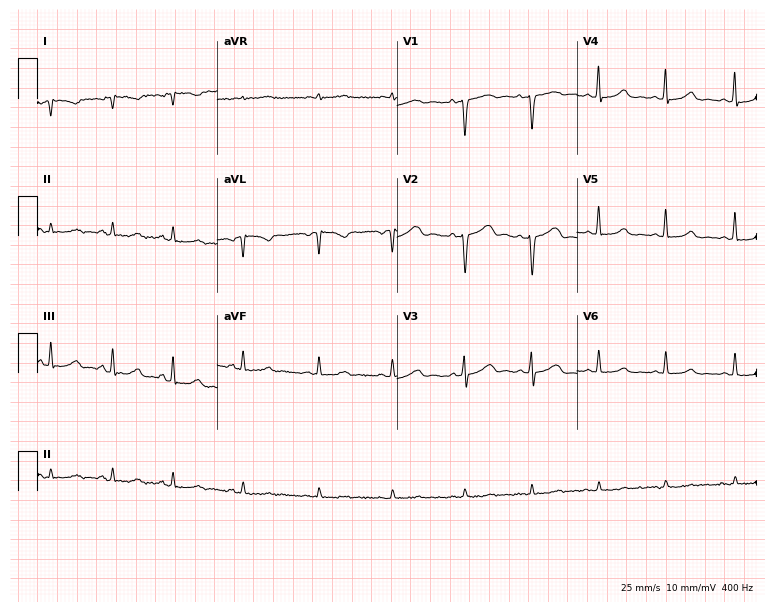
Resting 12-lead electrocardiogram. Patient: a female, 25 years old. None of these six findings is recorded: first-degree AV block, right bundle branch block, left bundle branch block, sinus bradycardia, atrial fibrillation, sinus tachycardia.